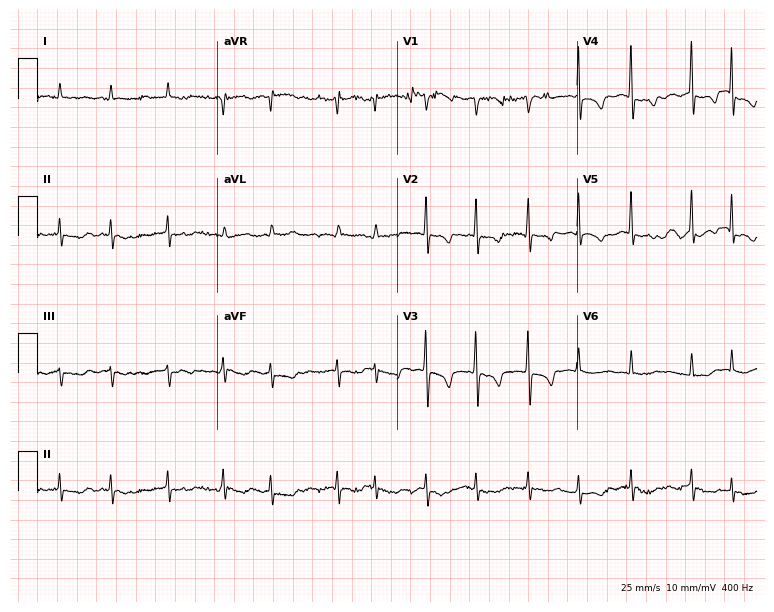
Resting 12-lead electrocardiogram. Patient: an 80-year-old woman. The tracing shows atrial fibrillation (AF).